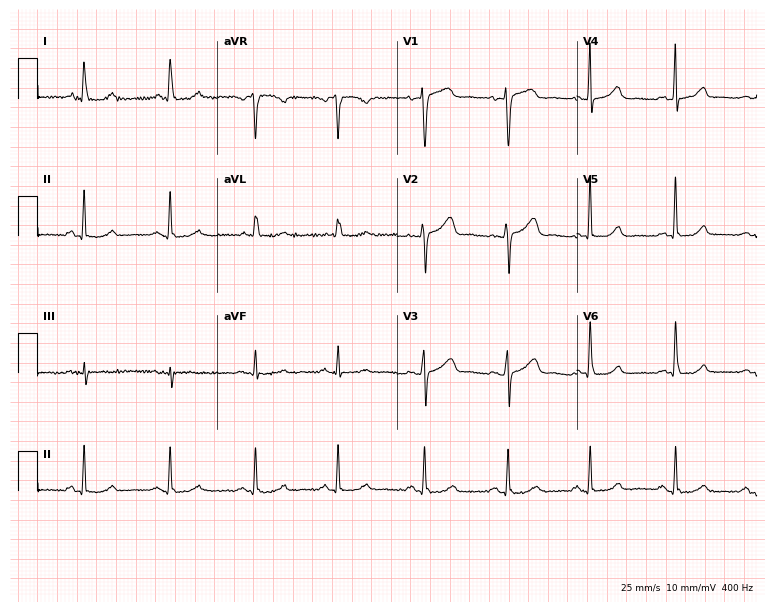
12-lead ECG from a 43-year-old female. Recorded interpretation: within normal limits.